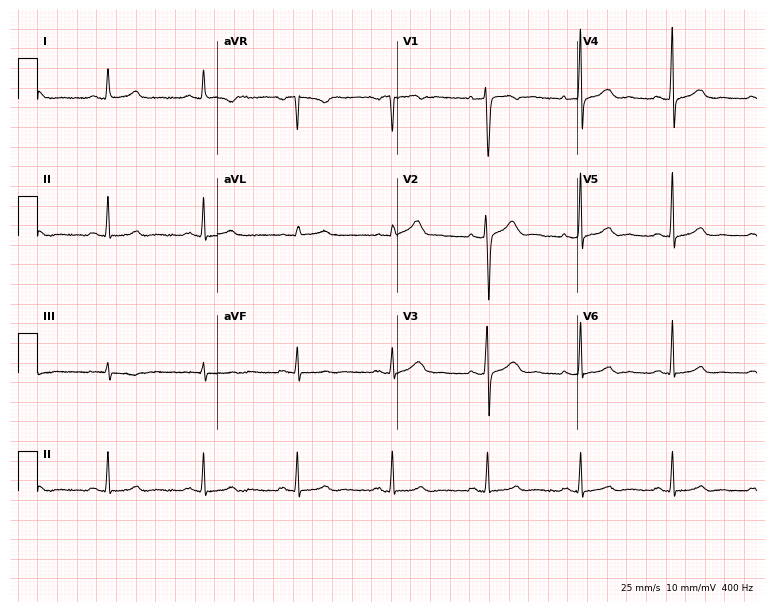
Electrocardiogram, a 38-year-old woman. Overall reading on record: normal ECG.